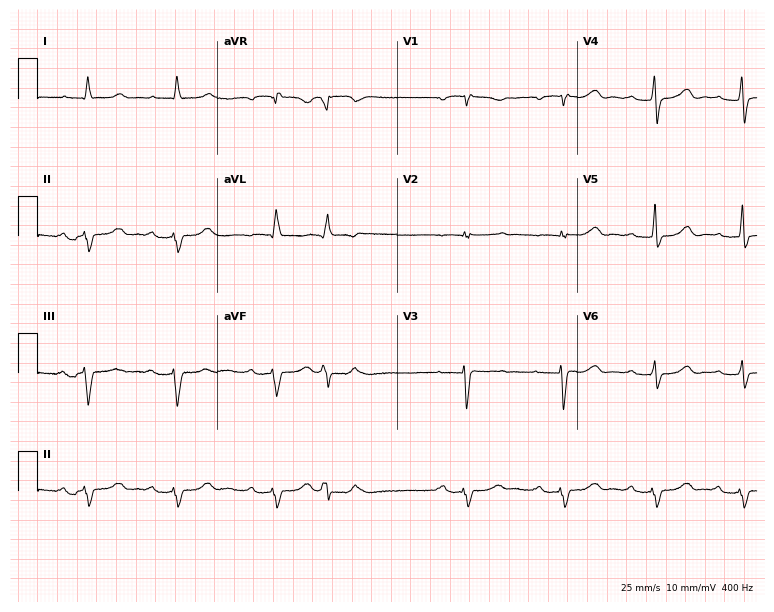
12-lead ECG from a female patient, 71 years old. Findings include first-degree AV block.